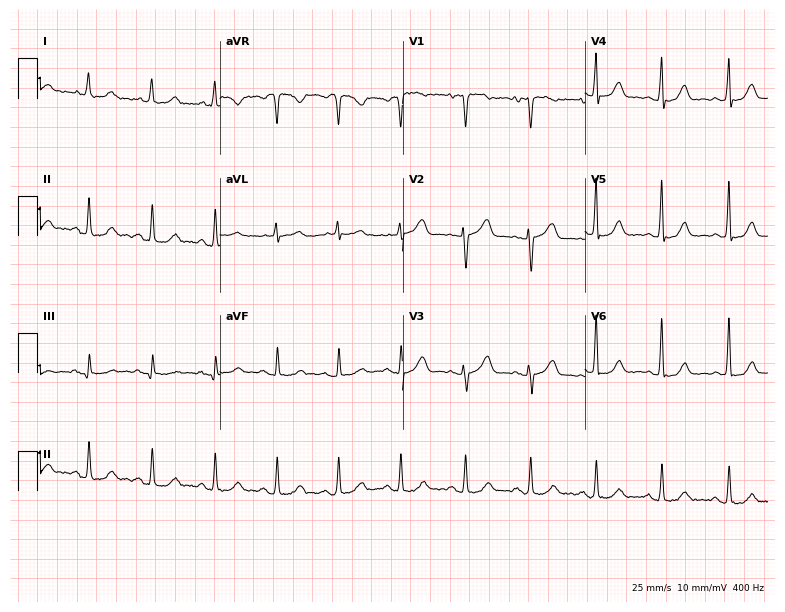
Resting 12-lead electrocardiogram (7.4-second recording at 400 Hz). Patient: a 55-year-old woman. None of these six findings is recorded: first-degree AV block, right bundle branch block, left bundle branch block, sinus bradycardia, atrial fibrillation, sinus tachycardia.